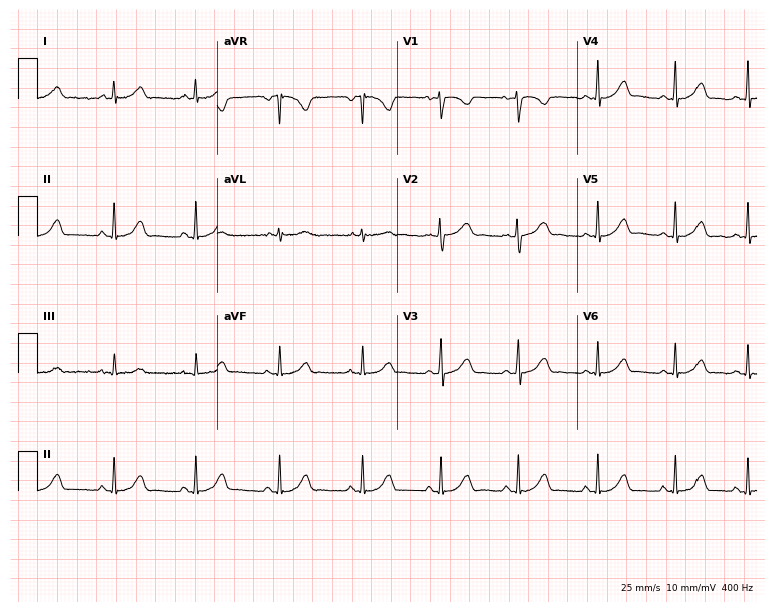
Standard 12-lead ECG recorded from a 25-year-old woman. Read as a normal ECG.